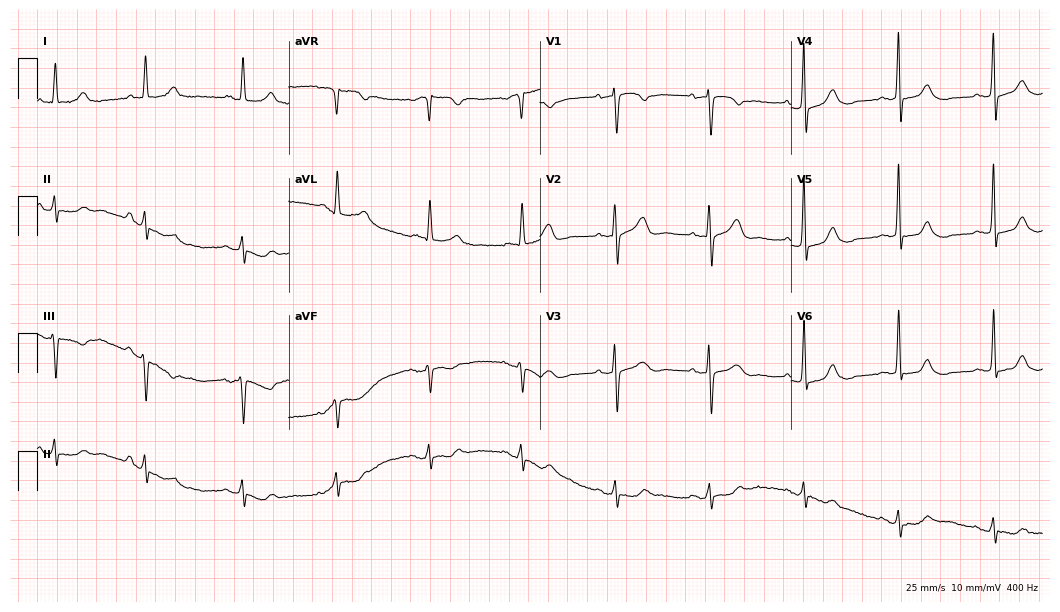
Resting 12-lead electrocardiogram (10.2-second recording at 400 Hz). Patient: a 79-year-old female. None of these six findings is recorded: first-degree AV block, right bundle branch block, left bundle branch block, sinus bradycardia, atrial fibrillation, sinus tachycardia.